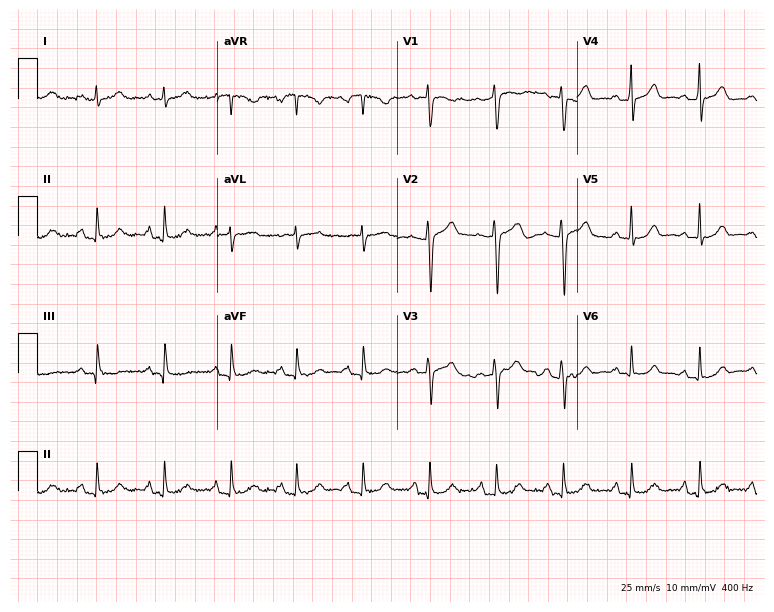
Resting 12-lead electrocardiogram. Patient: a female, 41 years old. None of these six findings is recorded: first-degree AV block, right bundle branch block (RBBB), left bundle branch block (LBBB), sinus bradycardia, atrial fibrillation (AF), sinus tachycardia.